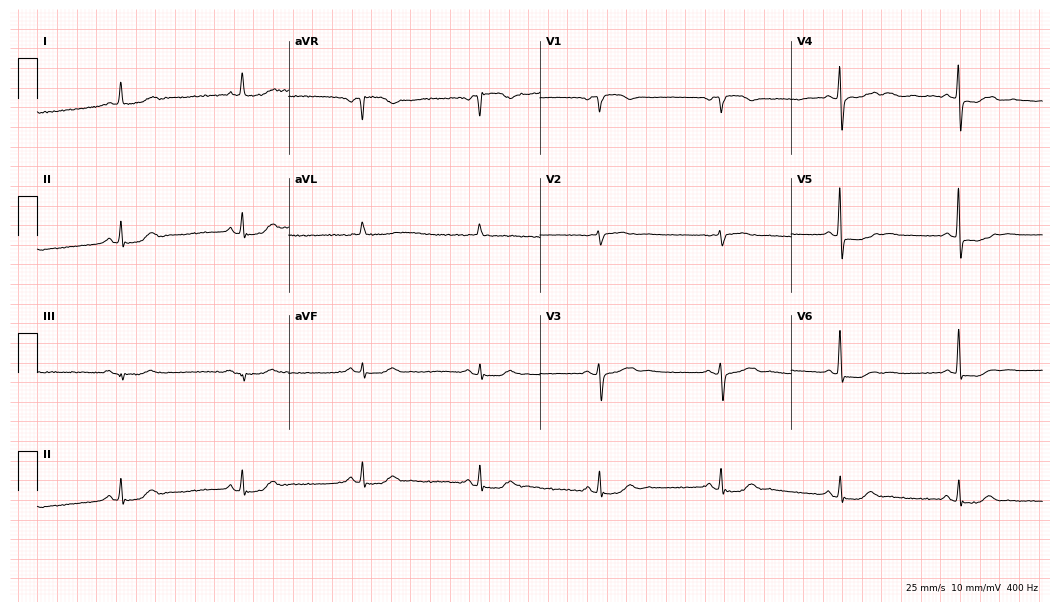
12-lead ECG (10.2-second recording at 400 Hz) from a woman, 72 years old. Screened for six findings — first-degree AV block, right bundle branch block (RBBB), left bundle branch block (LBBB), sinus bradycardia, atrial fibrillation (AF), sinus tachycardia — none is recorded. Only these six findings were labelled.